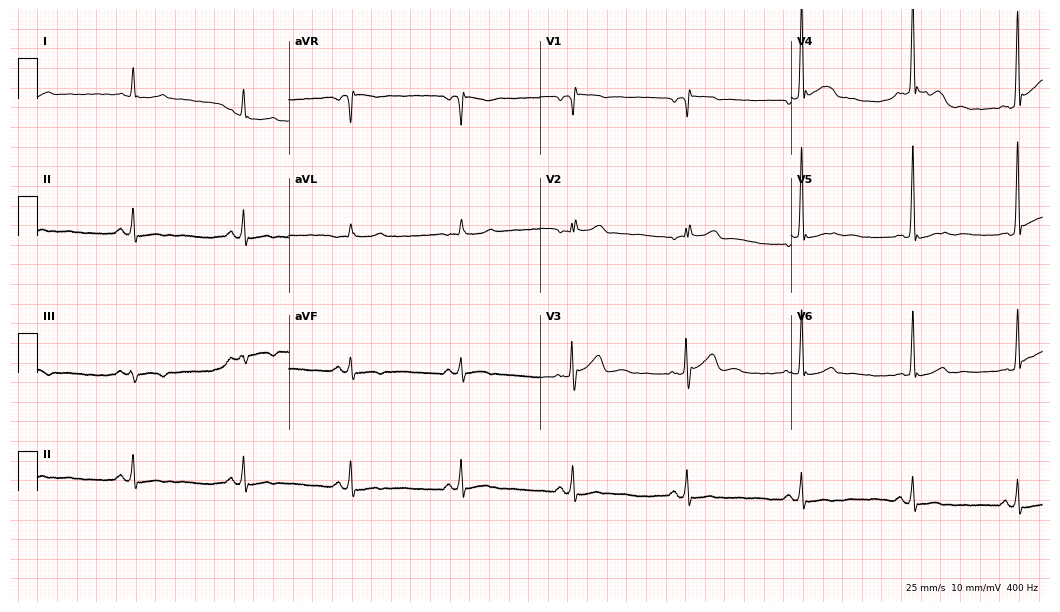
Standard 12-lead ECG recorded from a 43-year-old male patient (10.2-second recording at 400 Hz). Read as a normal ECG.